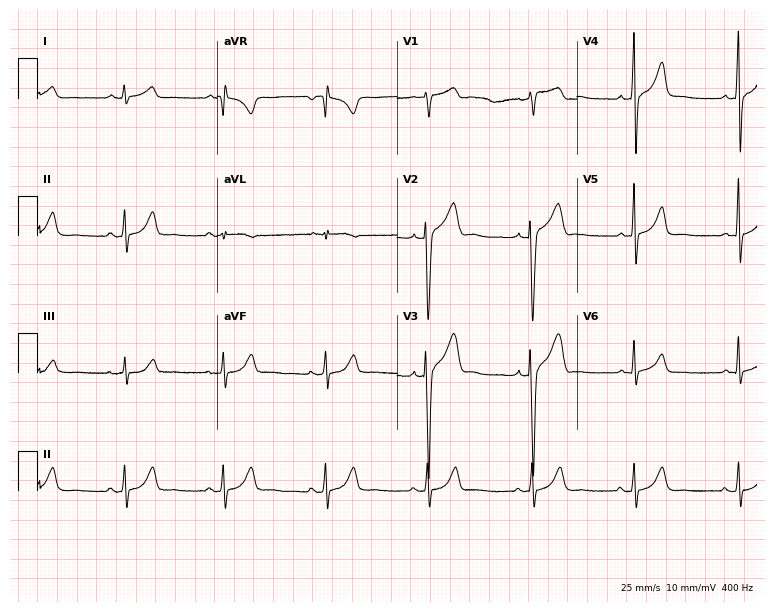
ECG (7.3-second recording at 400 Hz) — a 32-year-old man. Labelled as a normal ECG.